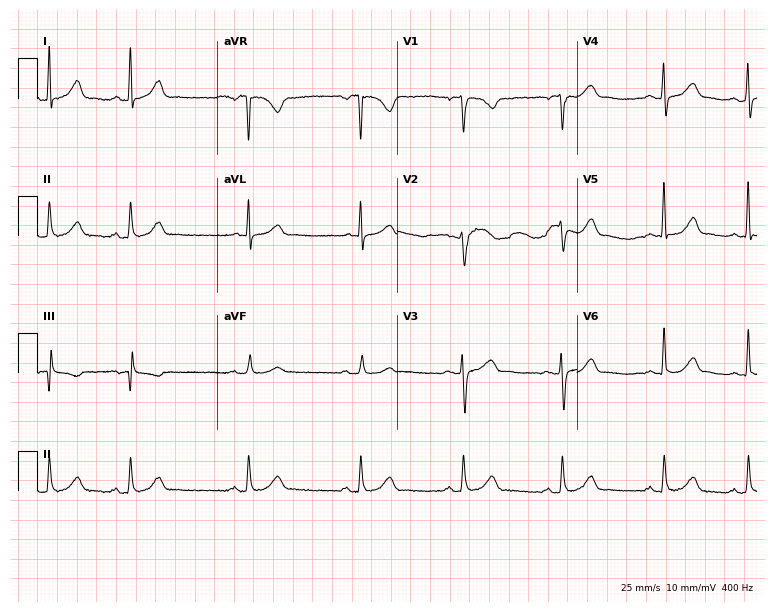
Electrocardiogram (7.3-second recording at 400 Hz), a 35-year-old woman. Overall reading on record: normal ECG.